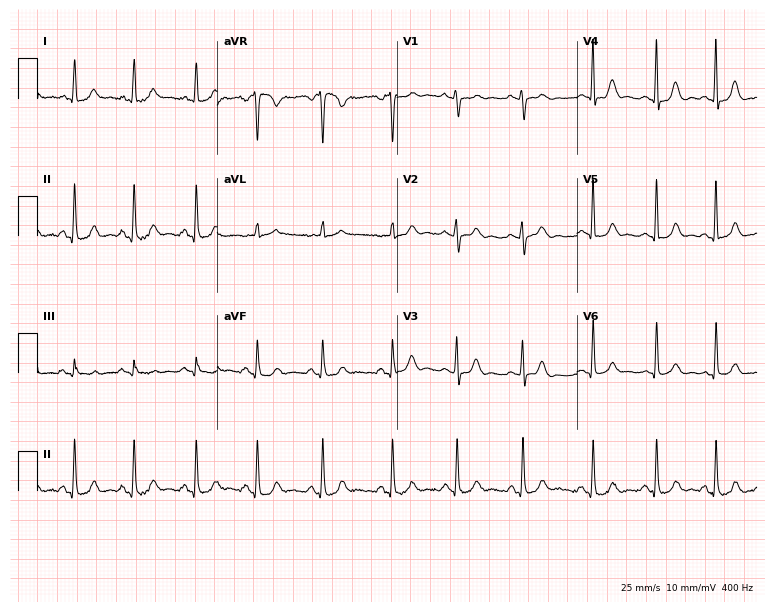
Standard 12-lead ECG recorded from a female patient, 19 years old. None of these six findings is recorded: first-degree AV block, right bundle branch block (RBBB), left bundle branch block (LBBB), sinus bradycardia, atrial fibrillation (AF), sinus tachycardia. Findings outside these six are not listed.